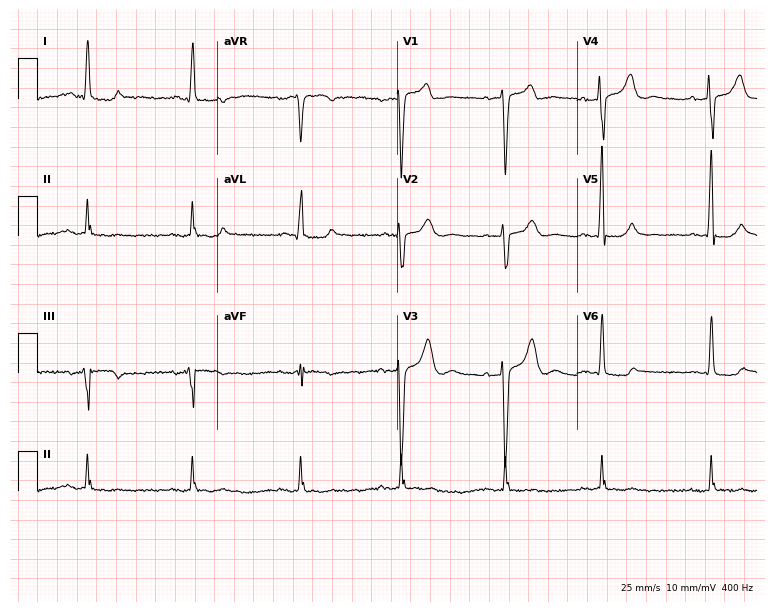
Standard 12-lead ECG recorded from a man, 77 years old. None of these six findings is recorded: first-degree AV block, right bundle branch block, left bundle branch block, sinus bradycardia, atrial fibrillation, sinus tachycardia.